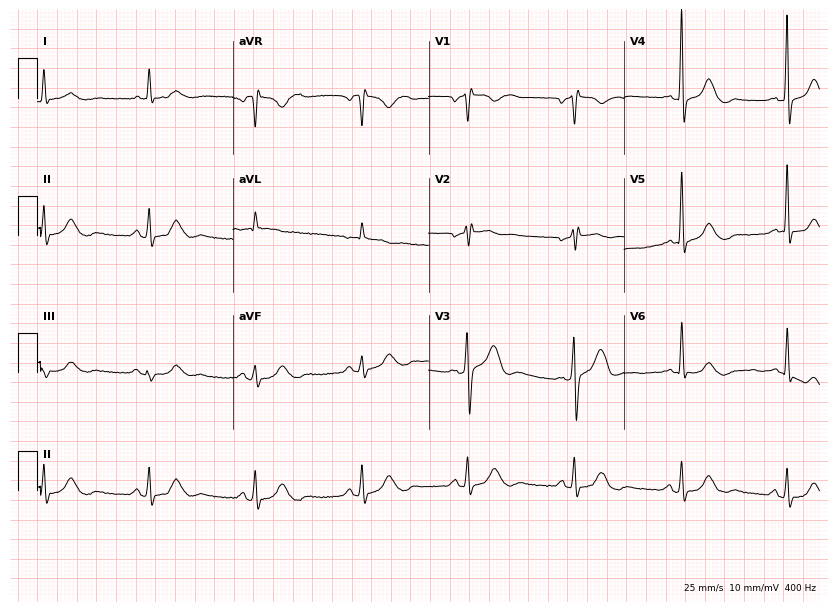
12-lead ECG from a 74-year-old male patient. Recorded interpretation: within normal limits.